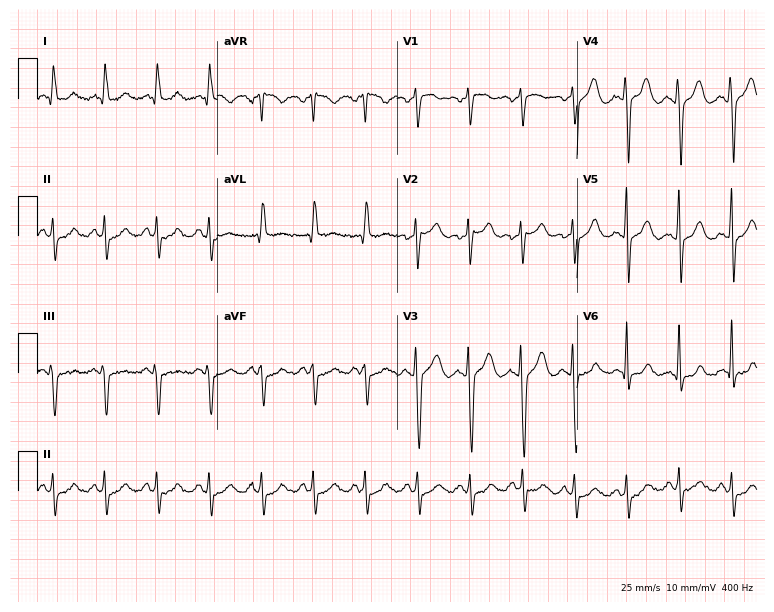
Resting 12-lead electrocardiogram (7.3-second recording at 400 Hz). Patient: a 41-year-old male. The tracing shows sinus tachycardia (a sinus rate of 100 beats per minute or more).